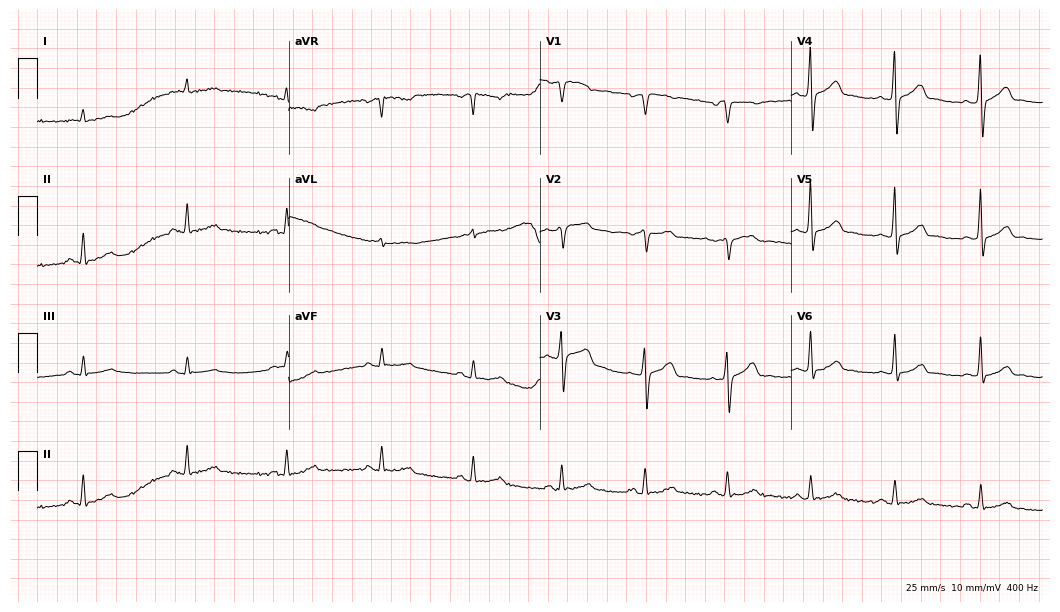
Standard 12-lead ECG recorded from a 62-year-old male patient. Read as a normal ECG.